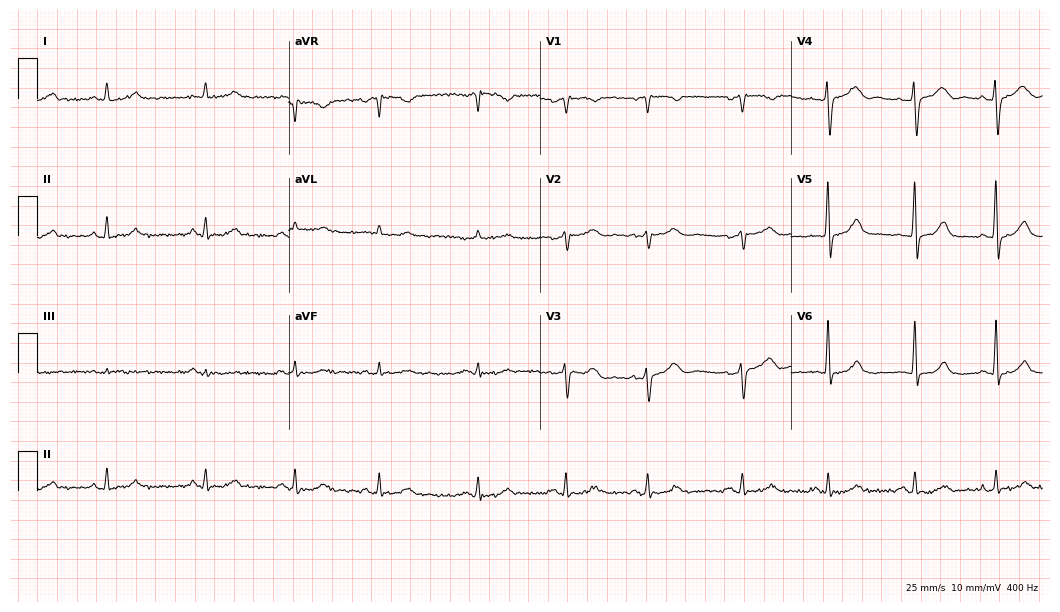
Standard 12-lead ECG recorded from a 79-year-old male patient. Read as a normal ECG.